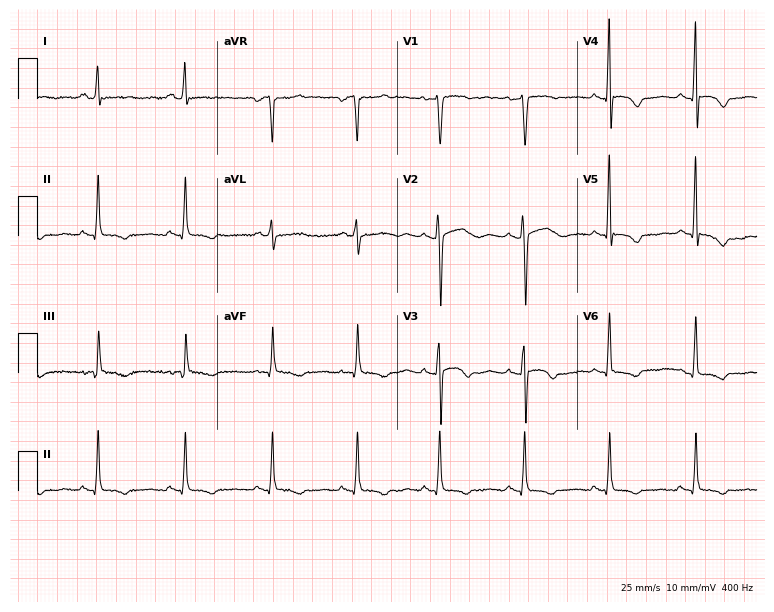
Resting 12-lead electrocardiogram (7.3-second recording at 400 Hz). Patient: a 48-year-old female. None of these six findings is recorded: first-degree AV block, right bundle branch block, left bundle branch block, sinus bradycardia, atrial fibrillation, sinus tachycardia.